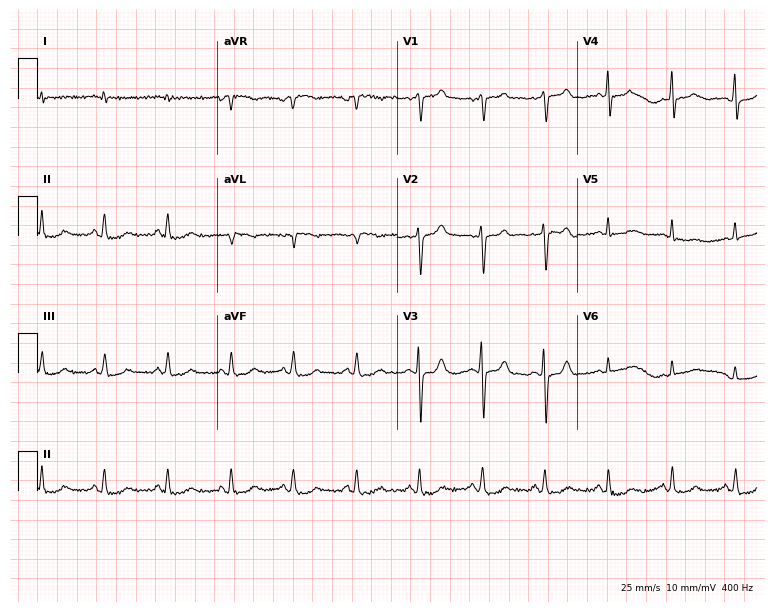
12-lead ECG (7.3-second recording at 400 Hz) from a female, 87 years old. Labelled as a normal ECG.